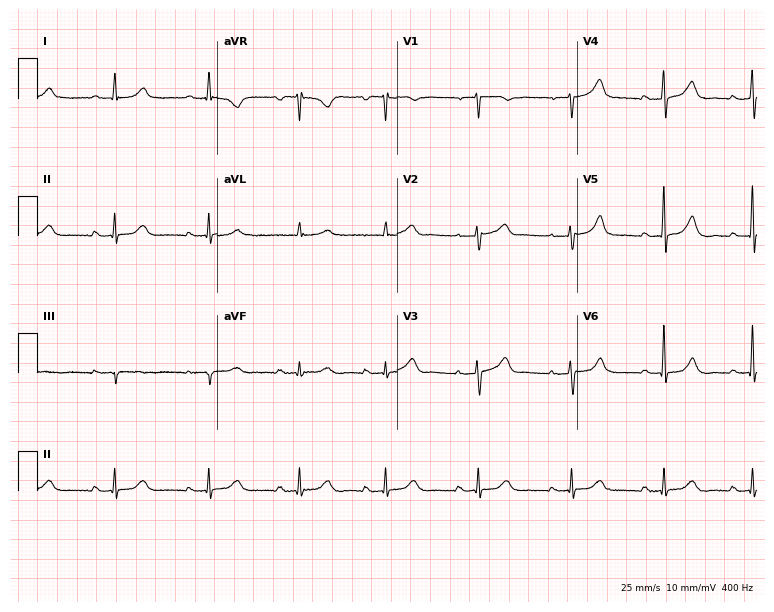
Electrocardiogram, a female, 65 years old. Overall reading on record: normal ECG.